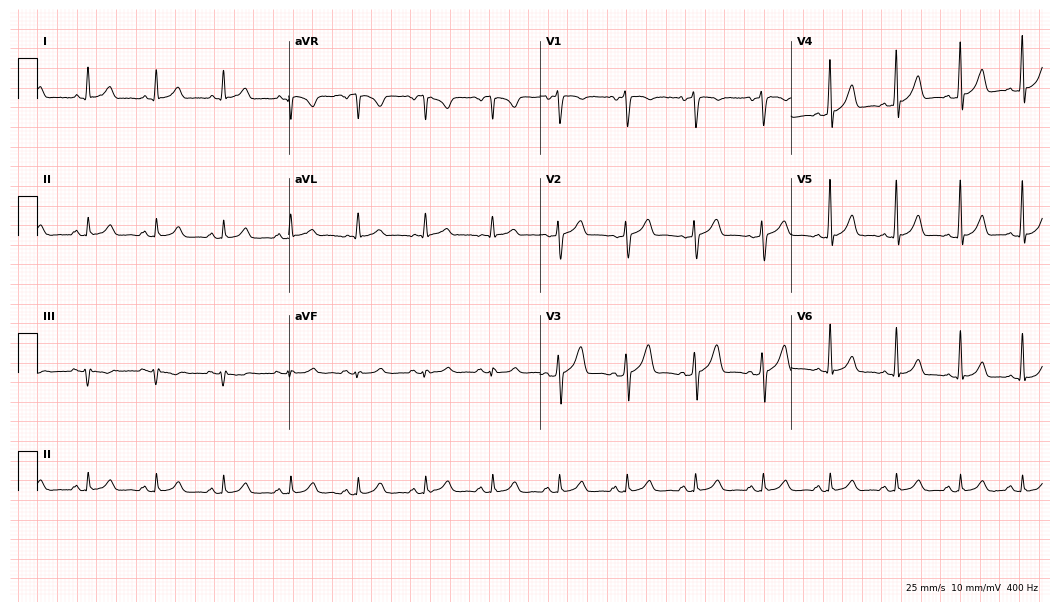
12-lead ECG from a 45-year-old male patient (10.2-second recording at 400 Hz). Recorded interpretation: within normal limits.